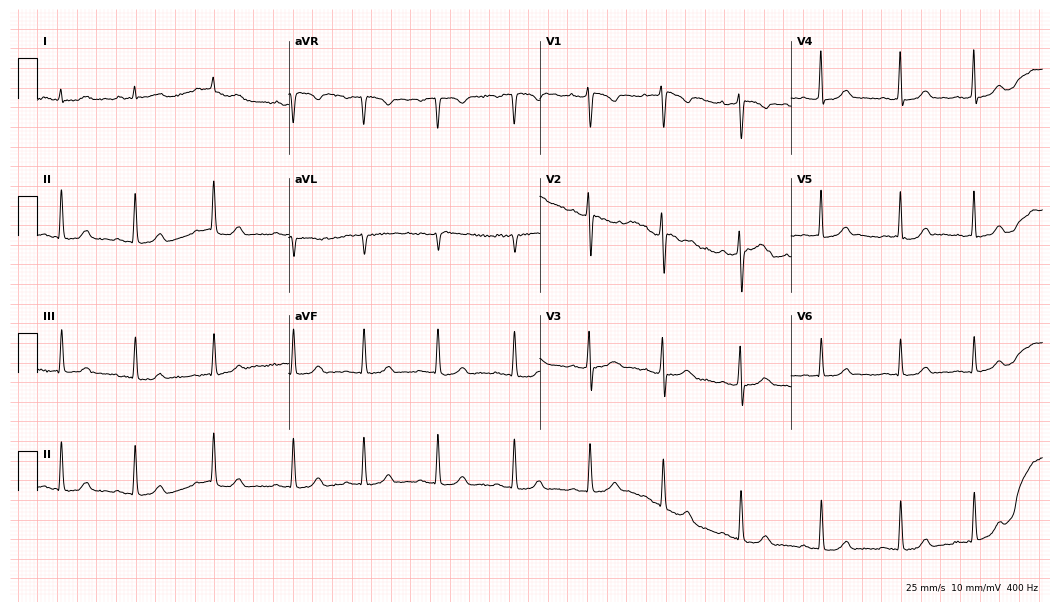
12-lead ECG (10.2-second recording at 400 Hz) from a female, 23 years old. Labelled as a normal ECG.